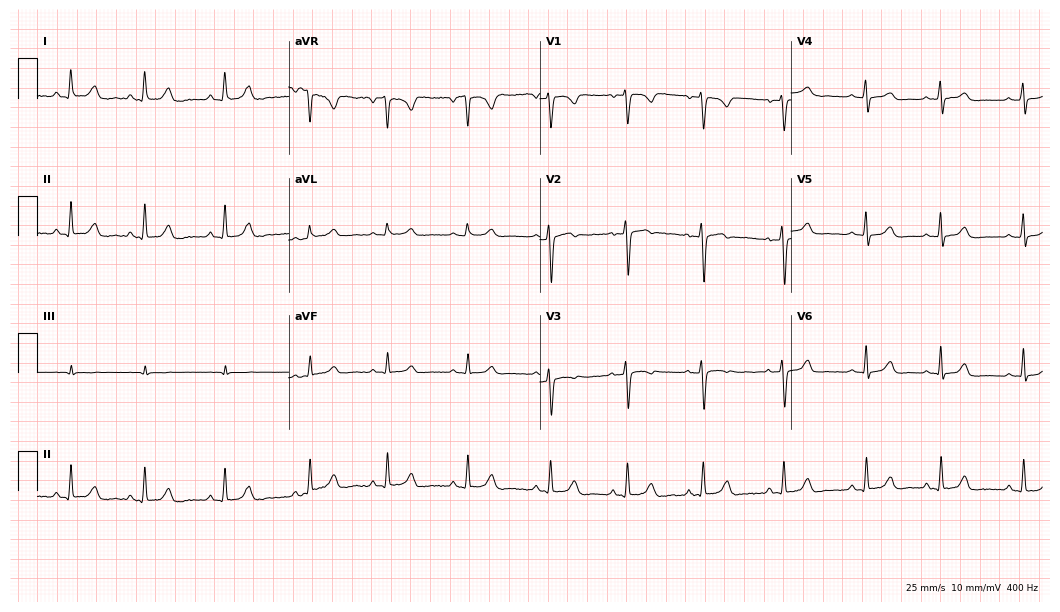
Electrocardiogram, a woman, 28 years old. Overall reading on record: normal ECG.